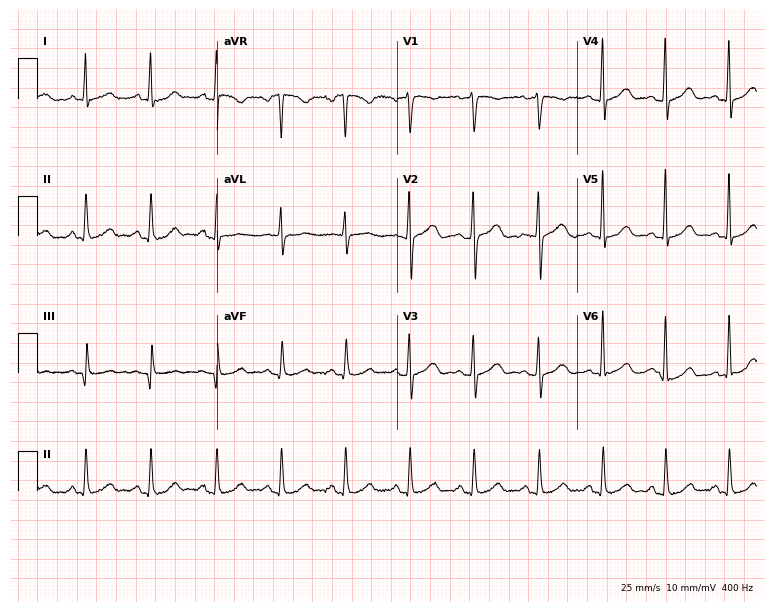
Resting 12-lead electrocardiogram (7.3-second recording at 400 Hz). Patient: a female, 44 years old. Read as a normal ECG.